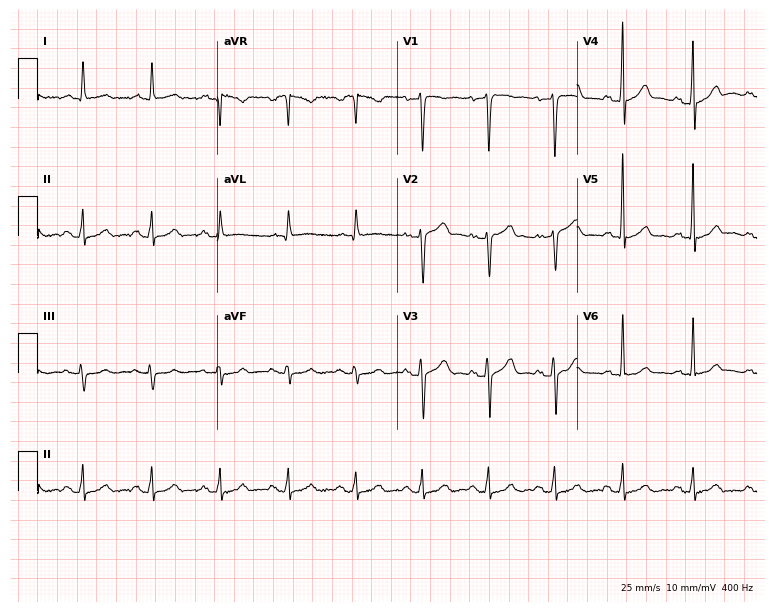
ECG — a male patient, 66 years old. Labelled as a normal ECG.